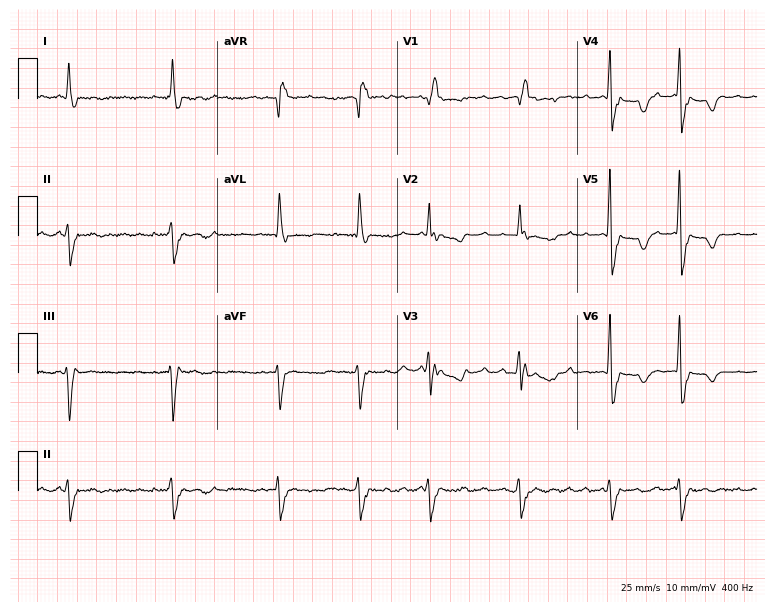
Standard 12-lead ECG recorded from a woman, 72 years old. The tracing shows right bundle branch block, atrial fibrillation.